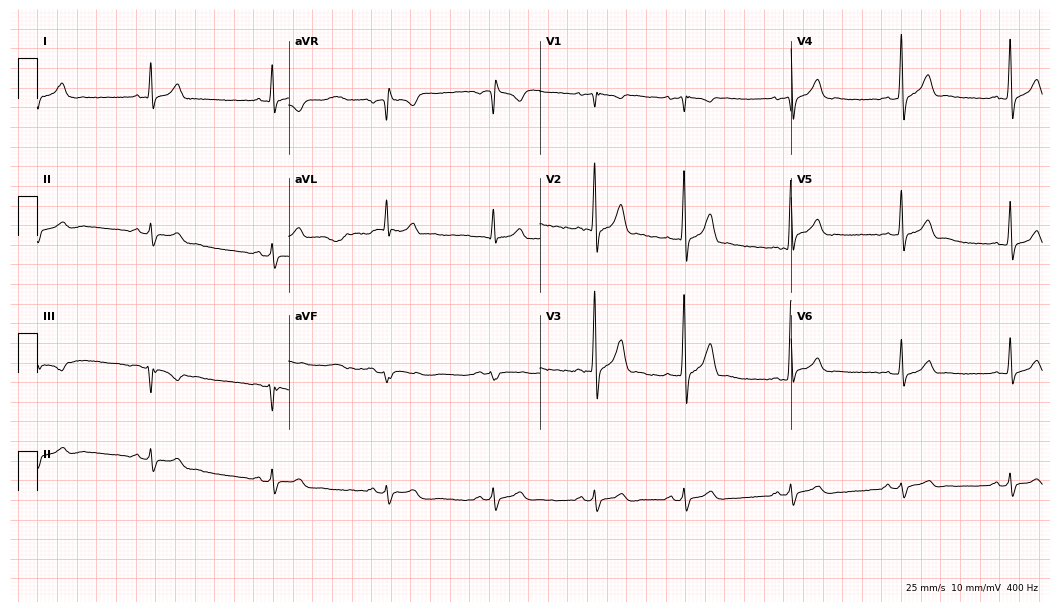
Standard 12-lead ECG recorded from a 27-year-old male patient. None of these six findings is recorded: first-degree AV block, right bundle branch block (RBBB), left bundle branch block (LBBB), sinus bradycardia, atrial fibrillation (AF), sinus tachycardia.